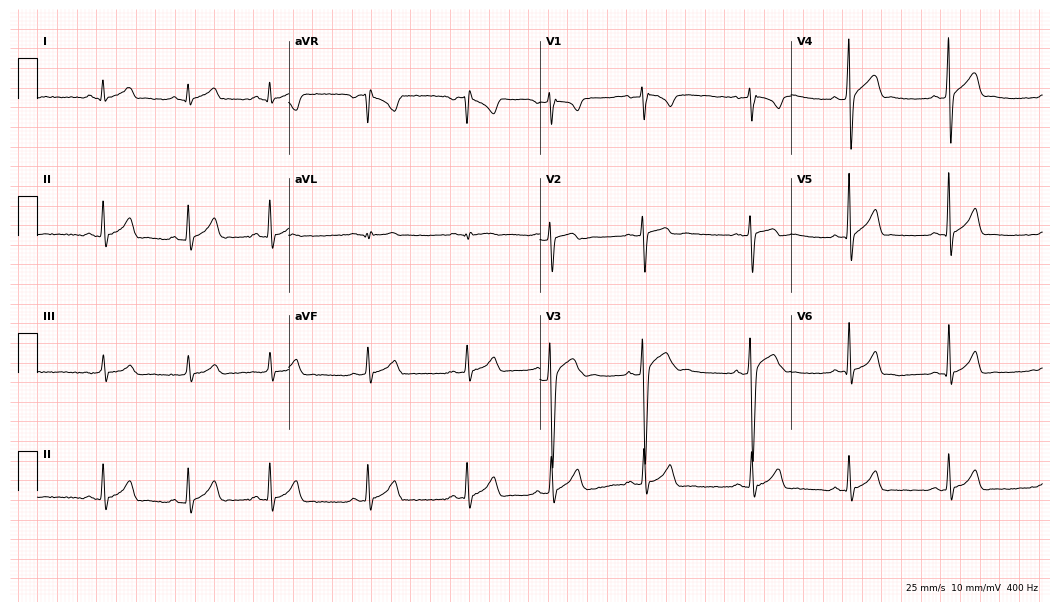
ECG — a male, 19 years old. Labelled as a normal ECG.